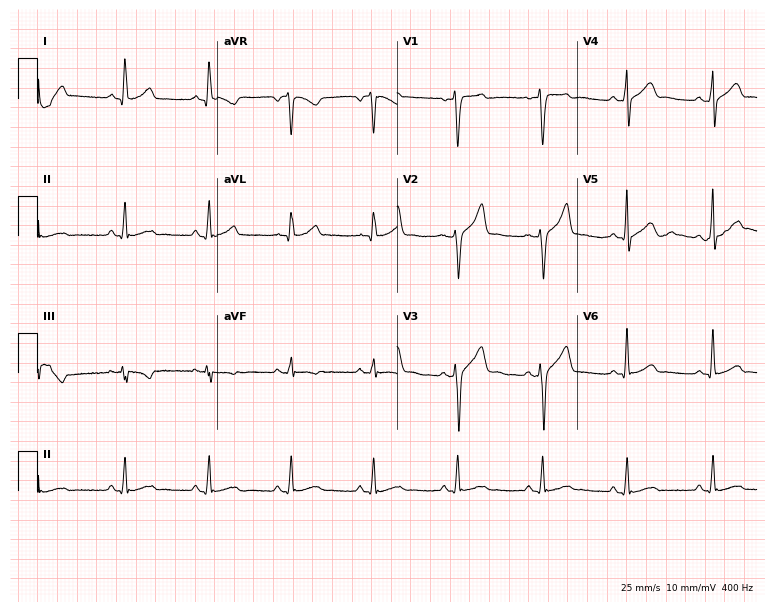
12-lead ECG from a 42-year-old man (7.3-second recording at 400 Hz). Recorded interpretation: within normal limits.